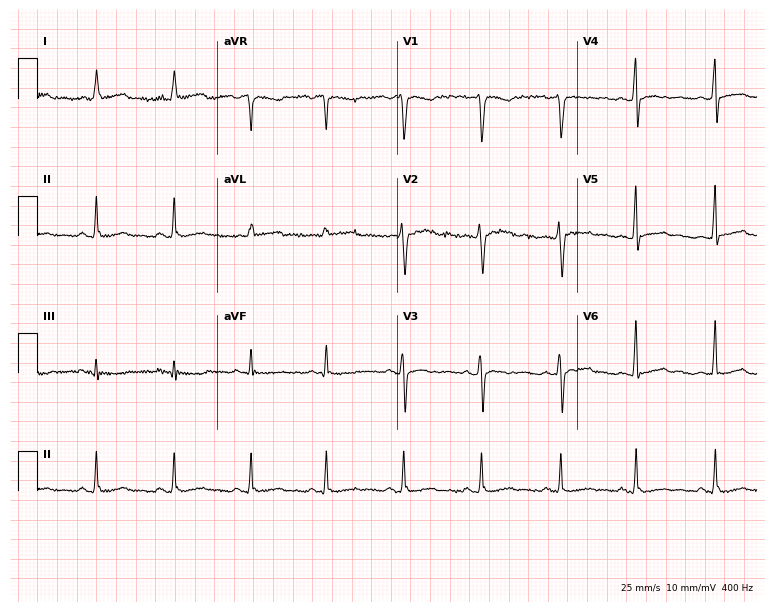
Electrocardiogram, a 48-year-old woman. Overall reading on record: normal ECG.